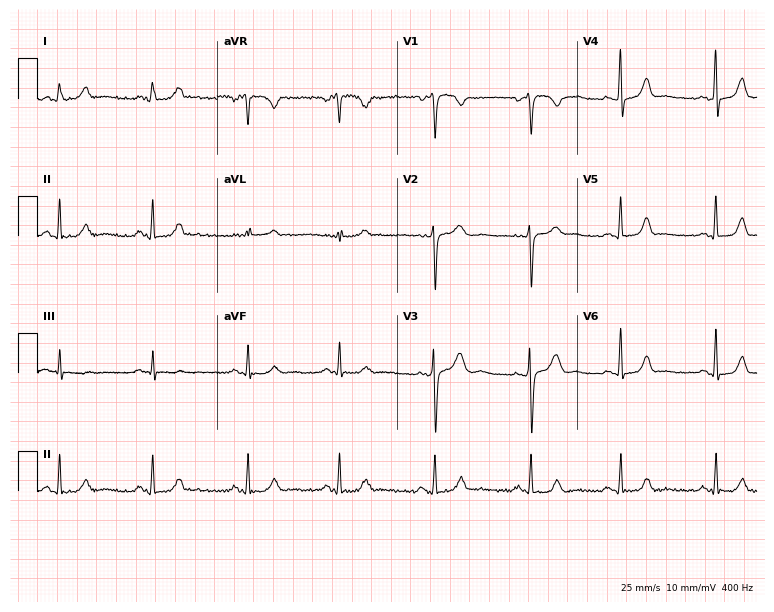
Electrocardiogram, a 33-year-old woman. Overall reading on record: normal ECG.